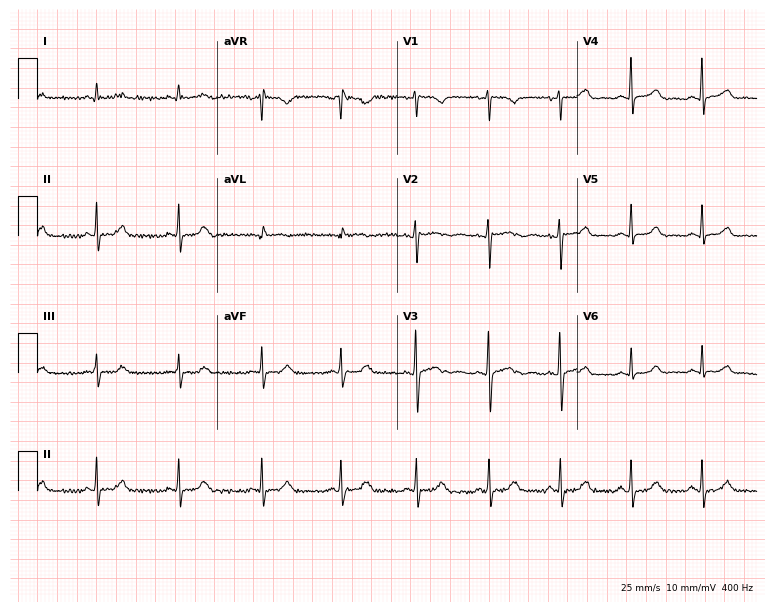
Resting 12-lead electrocardiogram. Patient: a 35-year-old woman. Read as a normal ECG.